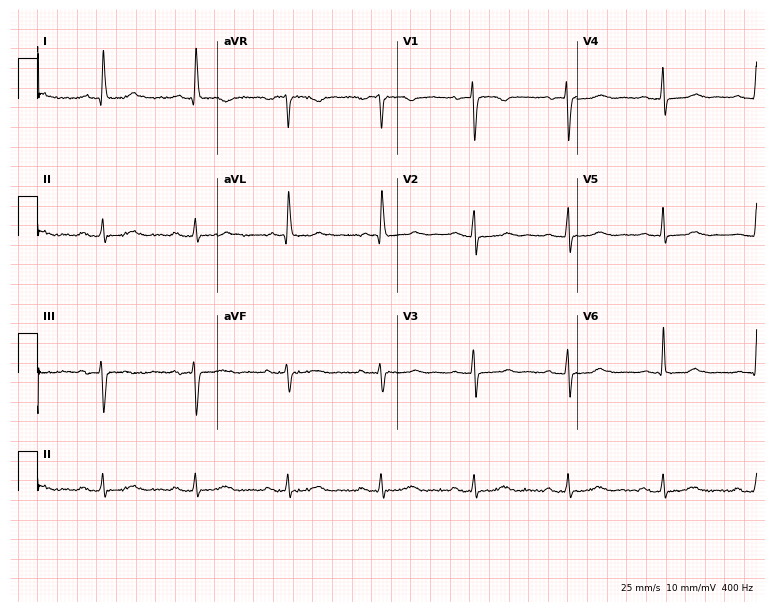
12-lead ECG from an 80-year-old female (7.3-second recording at 400 Hz). Recorded interpretation: within normal limits.